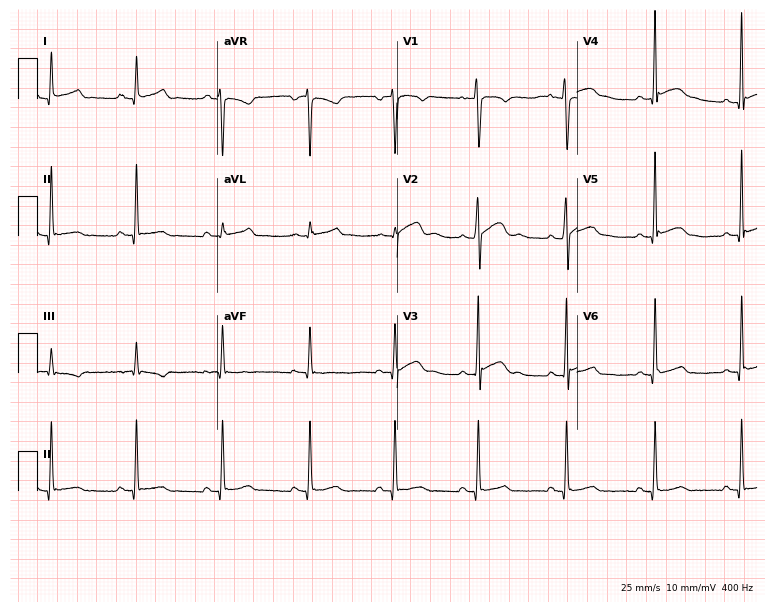
ECG (7.3-second recording at 400 Hz) — a 27-year-old male. Screened for six findings — first-degree AV block, right bundle branch block (RBBB), left bundle branch block (LBBB), sinus bradycardia, atrial fibrillation (AF), sinus tachycardia — none is recorded. Only these six findings were labelled.